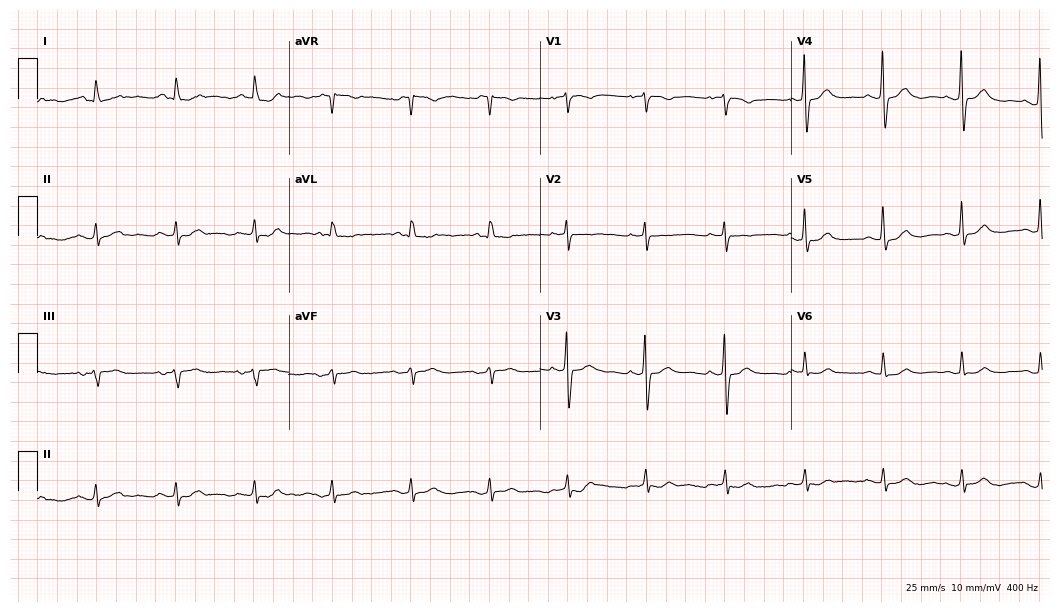
12-lead ECG from a woman, 75 years old. Screened for six findings — first-degree AV block, right bundle branch block (RBBB), left bundle branch block (LBBB), sinus bradycardia, atrial fibrillation (AF), sinus tachycardia — none is recorded.